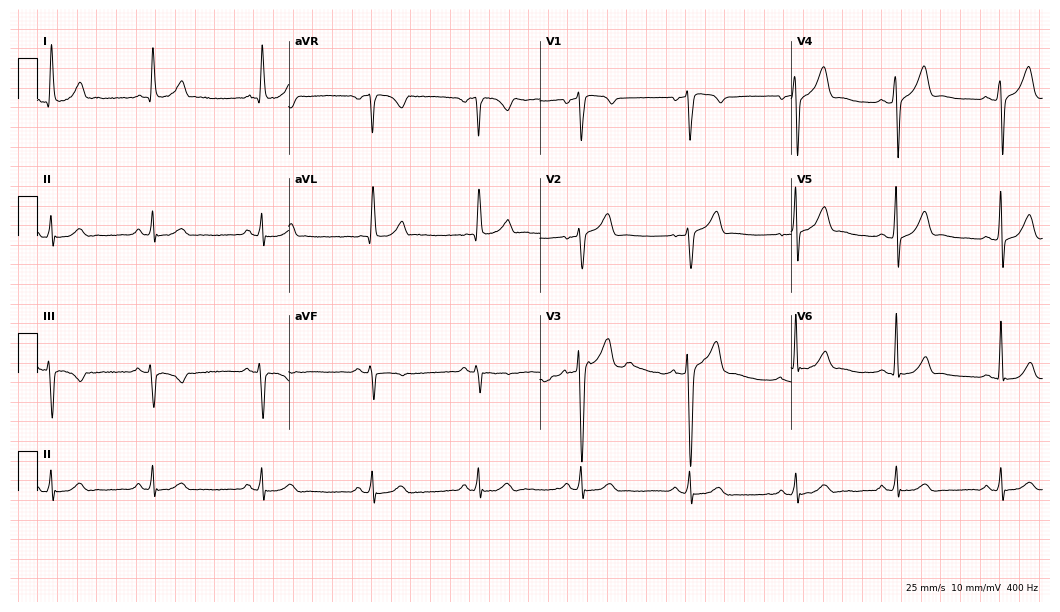
12-lead ECG from a man, 65 years old. Screened for six findings — first-degree AV block, right bundle branch block, left bundle branch block, sinus bradycardia, atrial fibrillation, sinus tachycardia — none is recorded.